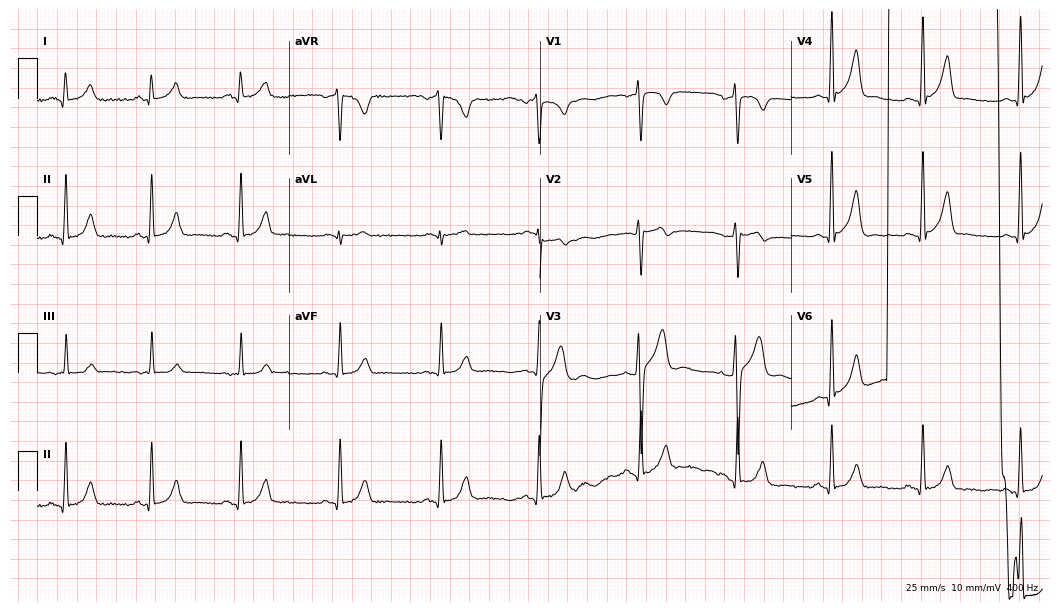
Standard 12-lead ECG recorded from a male patient, 25 years old. None of these six findings is recorded: first-degree AV block, right bundle branch block (RBBB), left bundle branch block (LBBB), sinus bradycardia, atrial fibrillation (AF), sinus tachycardia.